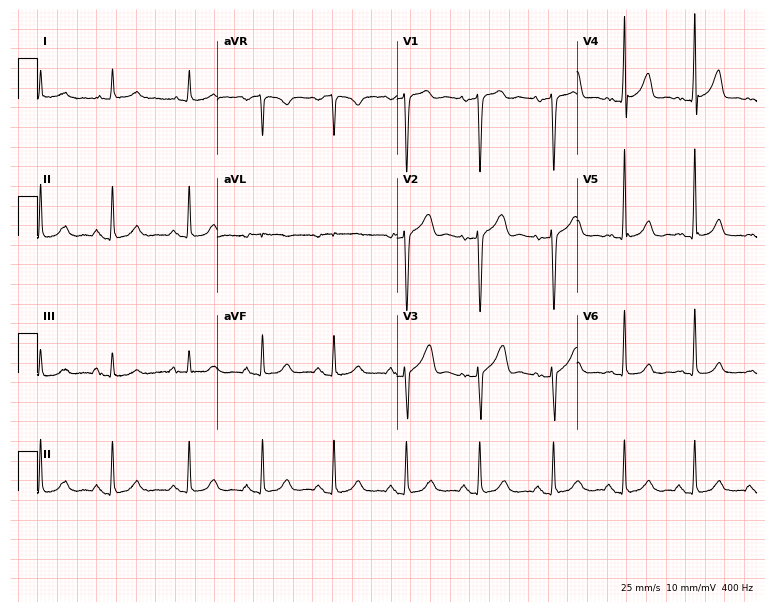
Electrocardiogram (7.3-second recording at 400 Hz), a man, 61 years old. Of the six screened findings (first-degree AV block, right bundle branch block, left bundle branch block, sinus bradycardia, atrial fibrillation, sinus tachycardia), none is recorded.